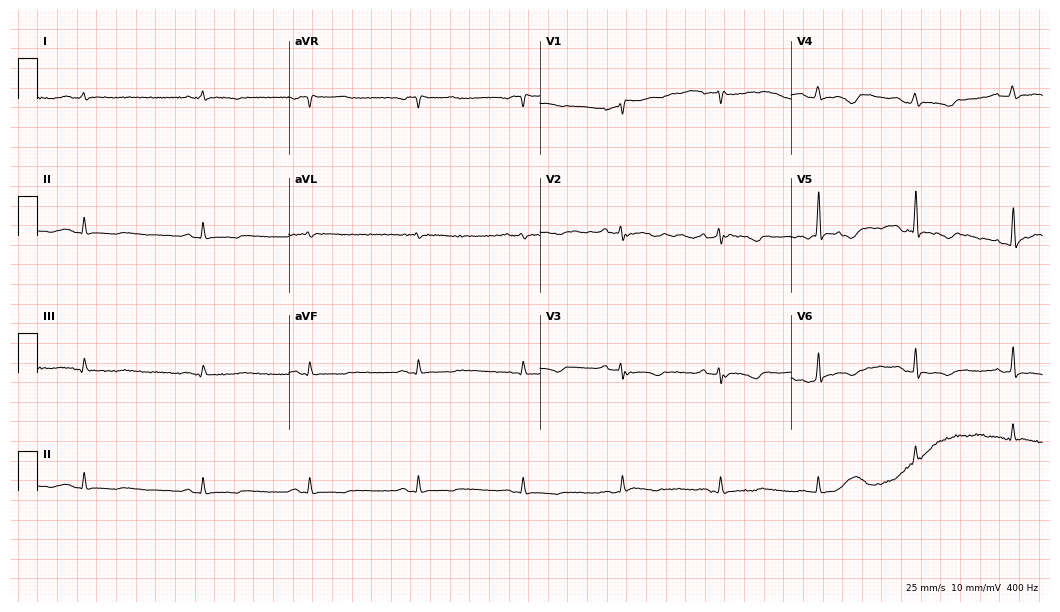
Standard 12-lead ECG recorded from a 65-year-old man. None of these six findings is recorded: first-degree AV block, right bundle branch block, left bundle branch block, sinus bradycardia, atrial fibrillation, sinus tachycardia.